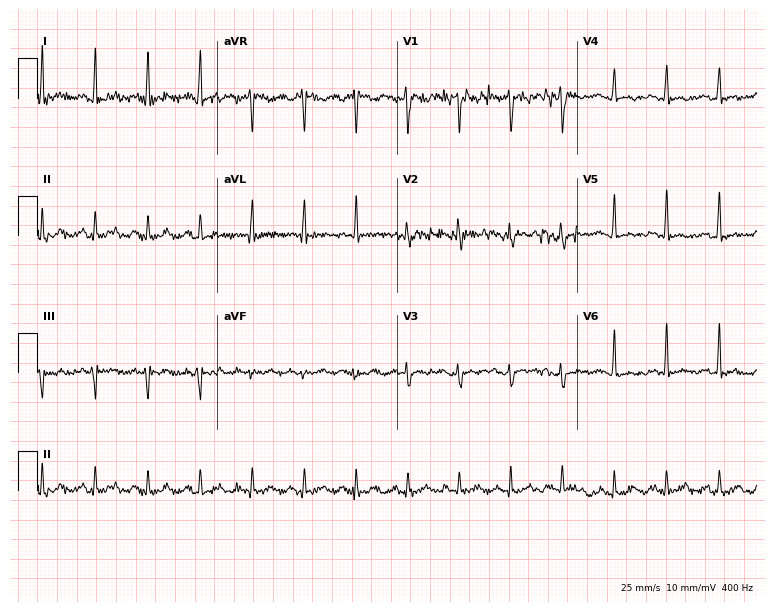
Standard 12-lead ECG recorded from a female, 28 years old. None of these six findings is recorded: first-degree AV block, right bundle branch block (RBBB), left bundle branch block (LBBB), sinus bradycardia, atrial fibrillation (AF), sinus tachycardia. Findings outside these six are not listed.